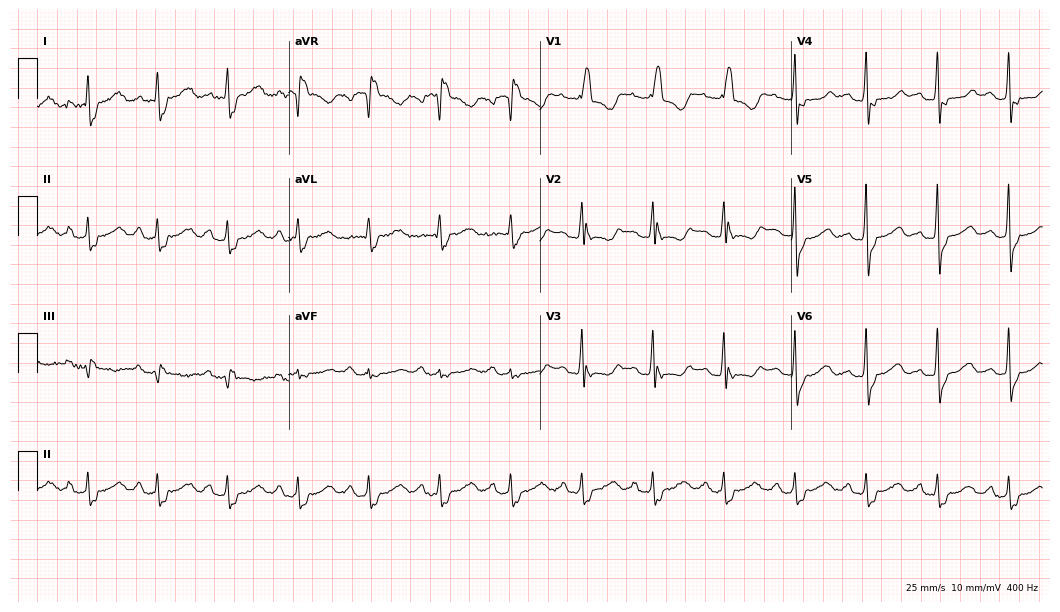
ECG — a 62-year-old female. Findings include first-degree AV block, right bundle branch block.